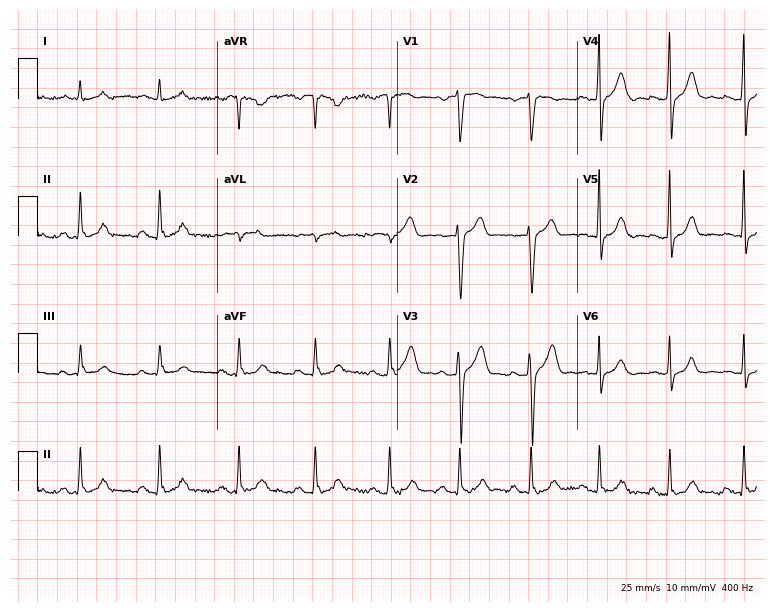
ECG — a man, 49 years old. Labelled as a normal ECG.